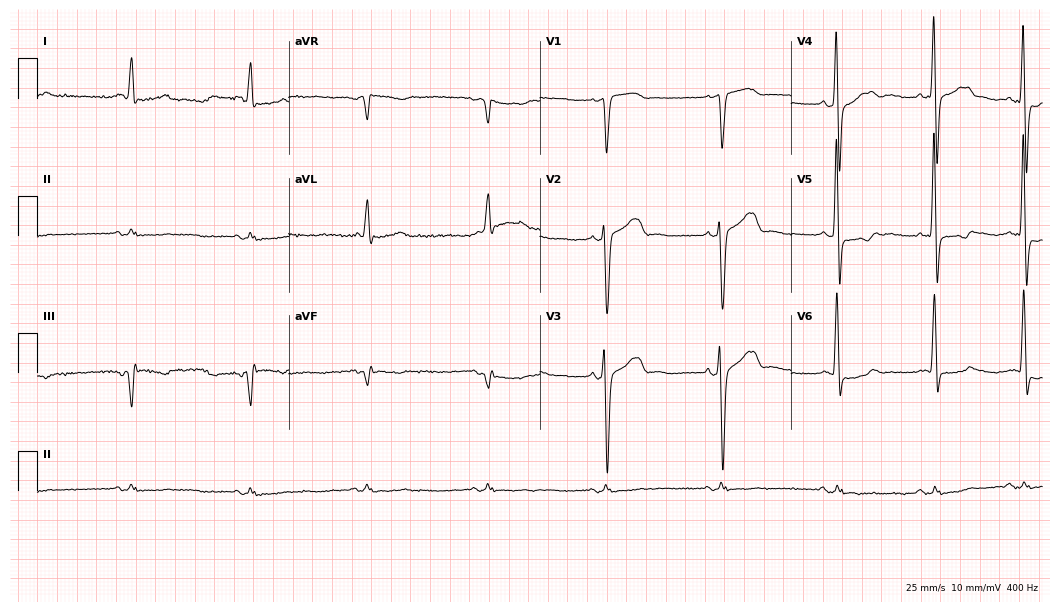
Standard 12-lead ECG recorded from a male patient, 80 years old. None of these six findings is recorded: first-degree AV block, right bundle branch block, left bundle branch block, sinus bradycardia, atrial fibrillation, sinus tachycardia. Other findings, if any, are not listed.